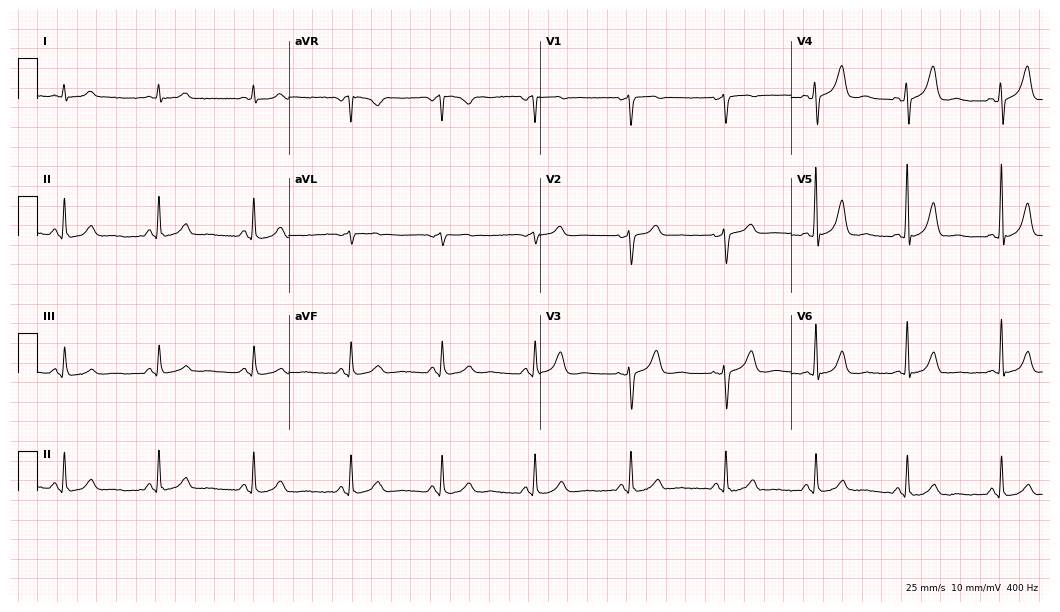
ECG (10.2-second recording at 400 Hz) — a male, 49 years old. Labelled as a normal ECG.